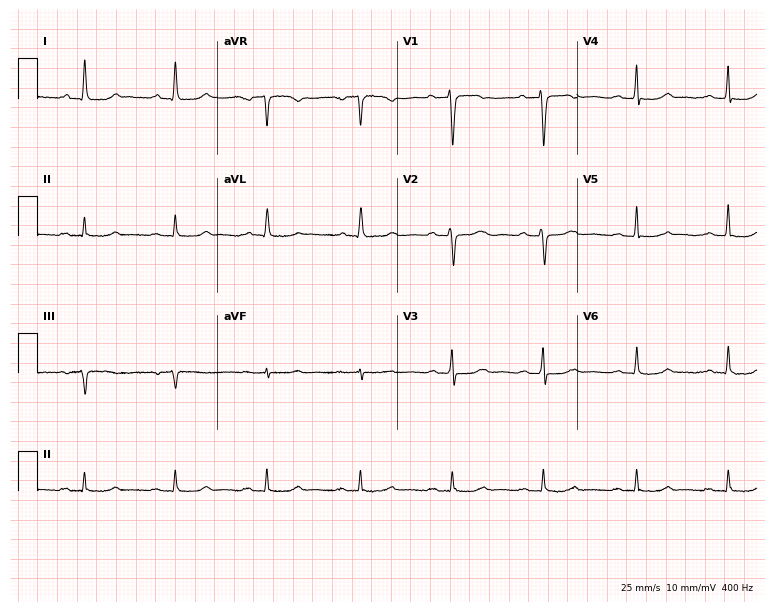
Electrocardiogram (7.3-second recording at 400 Hz), a woman, 79 years old. Interpretation includes first-degree AV block.